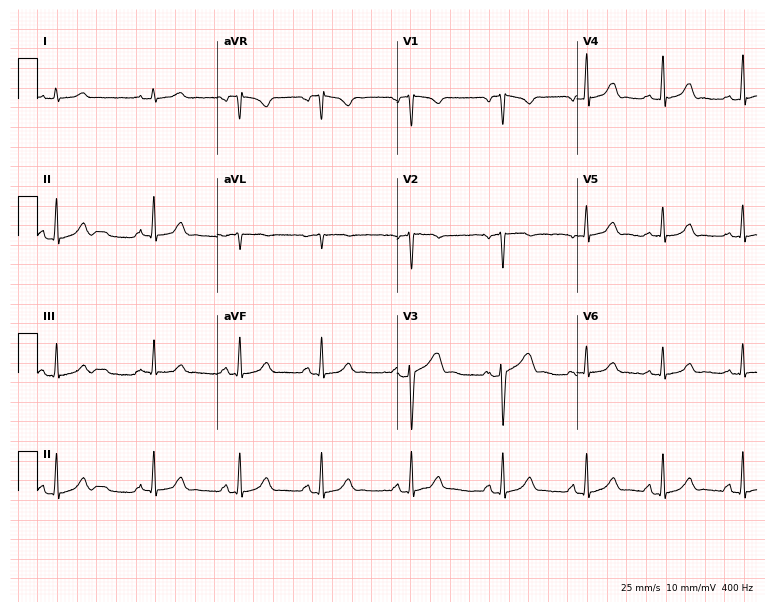
Electrocardiogram, a 32-year-old female. Overall reading on record: normal ECG.